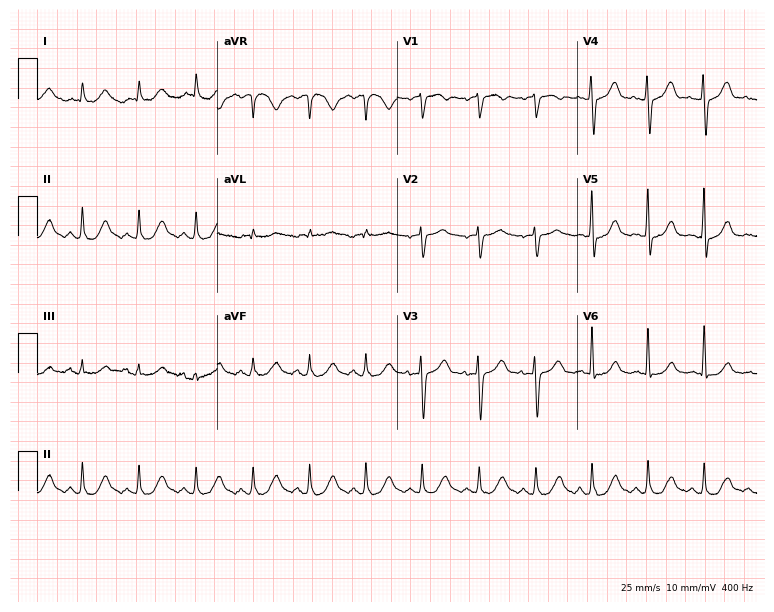
12-lead ECG from a 58-year-old female (7.3-second recording at 400 Hz). No first-degree AV block, right bundle branch block (RBBB), left bundle branch block (LBBB), sinus bradycardia, atrial fibrillation (AF) or sinus tachycardia recorded for this tracing.